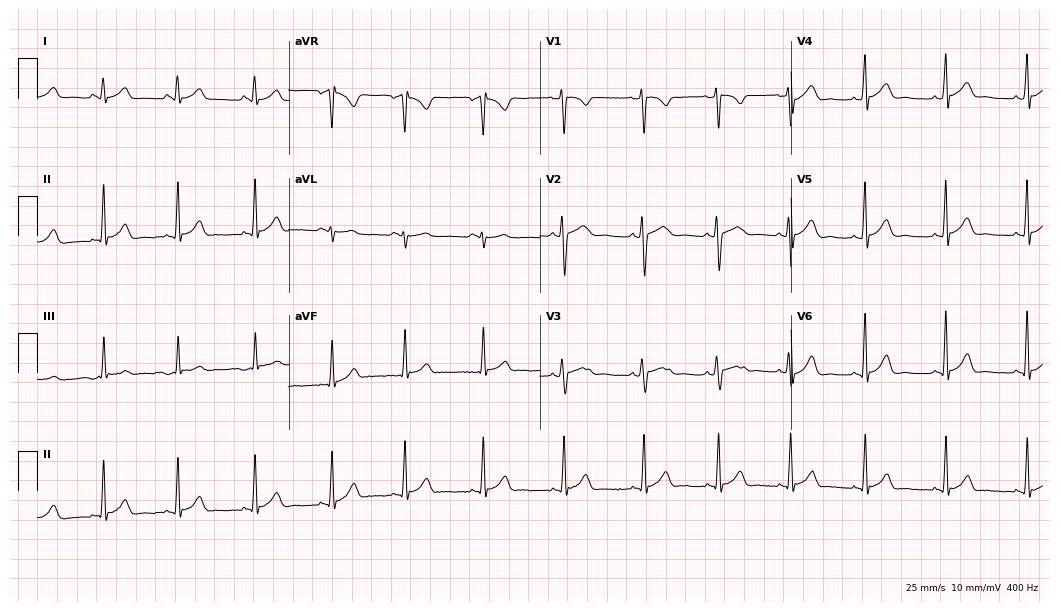
Electrocardiogram, a female patient, 30 years old. Overall reading on record: normal ECG.